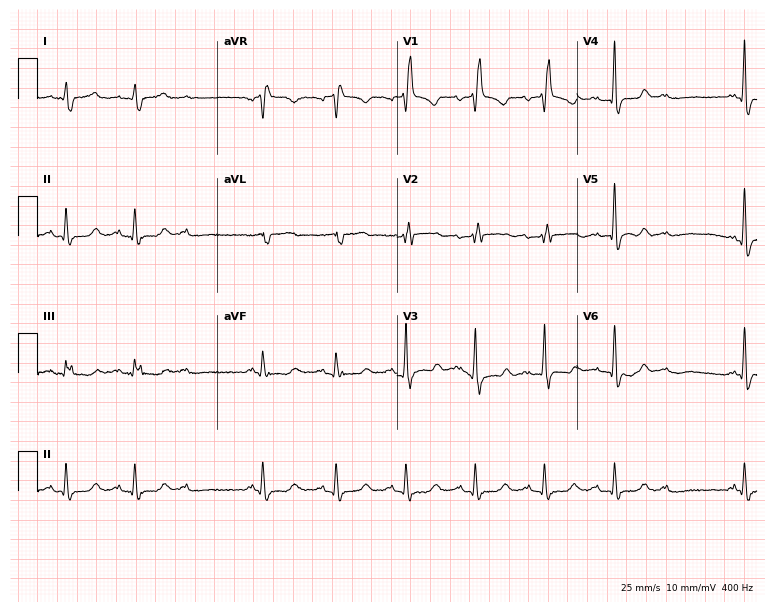
12-lead ECG from a 74-year-old male. Shows right bundle branch block.